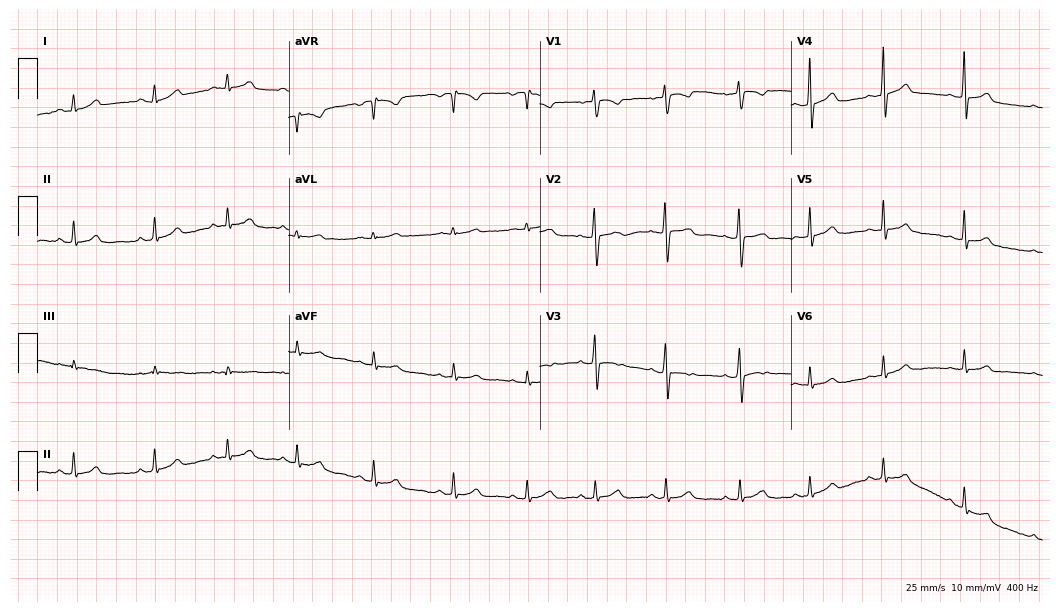
12-lead ECG from a female patient, 18 years old. Recorded interpretation: within normal limits.